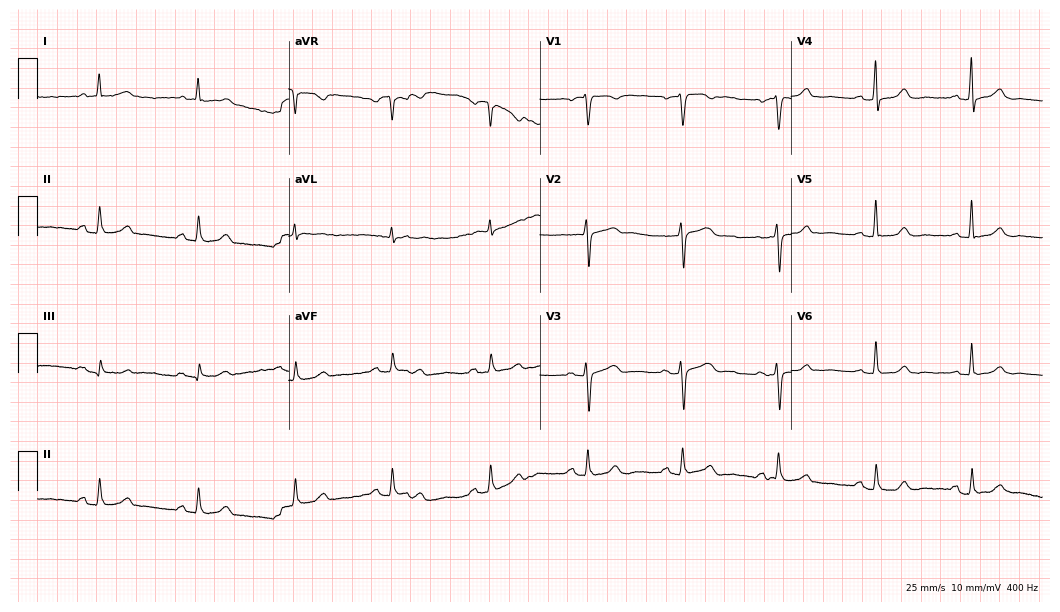
12-lead ECG from a woman, 78 years old. Recorded interpretation: within normal limits.